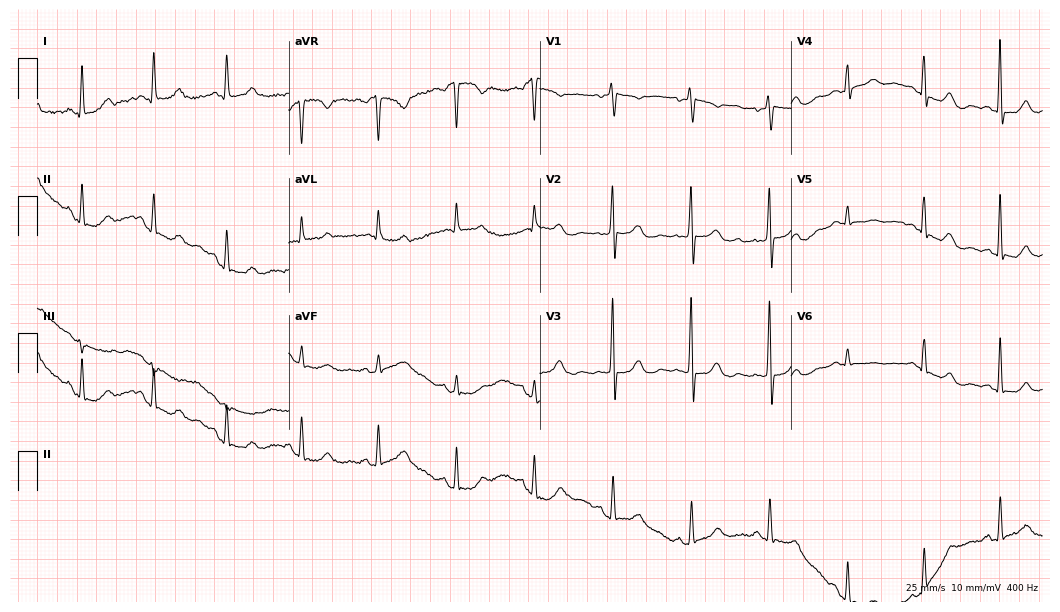
12-lead ECG from a female, 69 years old (10.2-second recording at 400 Hz). No first-degree AV block, right bundle branch block (RBBB), left bundle branch block (LBBB), sinus bradycardia, atrial fibrillation (AF) or sinus tachycardia recorded for this tracing.